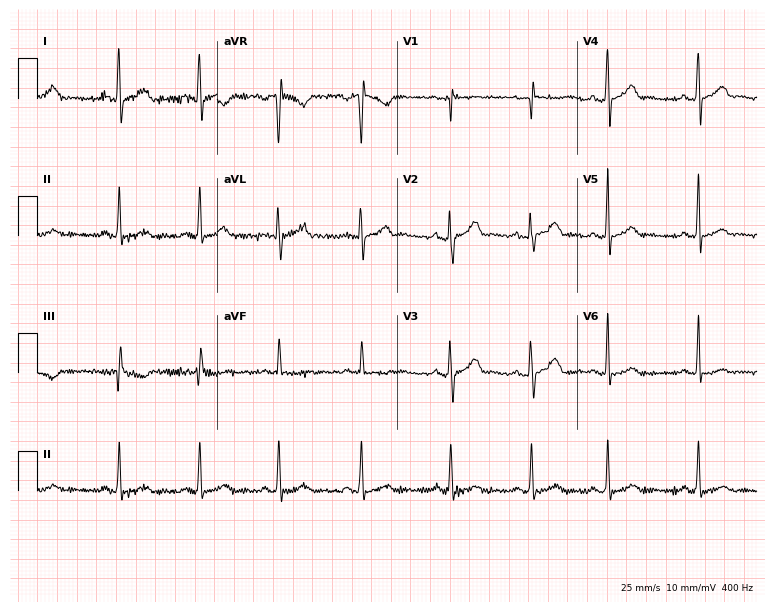
ECG (7.3-second recording at 400 Hz) — a 34-year-old female. Labelled as a normal ECG.